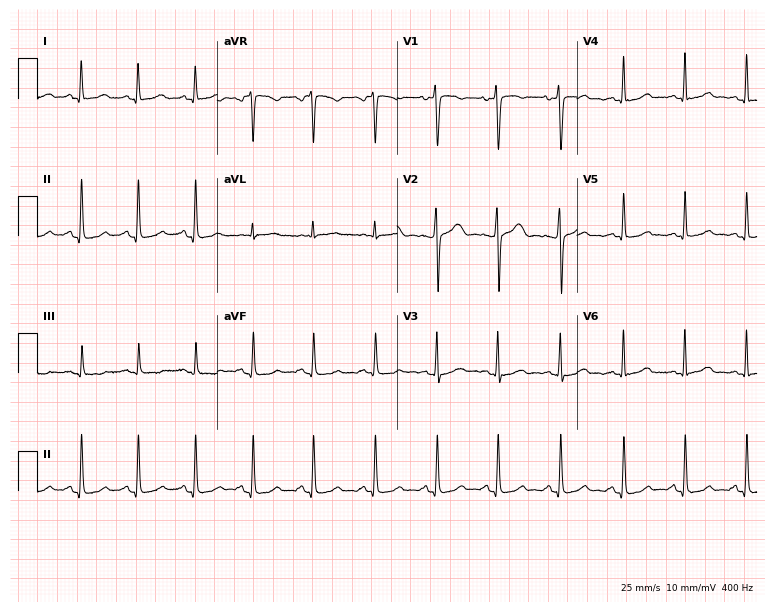
ECG (7.3-second recording at 400 Hz) — a 28-year-old woman. Screened for six findings — first-degree AV block, right bundle branch block (RBBB), left bundle branch block (LBBB), sinus bradycardia, atrial fibrillation (AF), sinus tachycardia — none is recorded. Only these six findings were labelled.